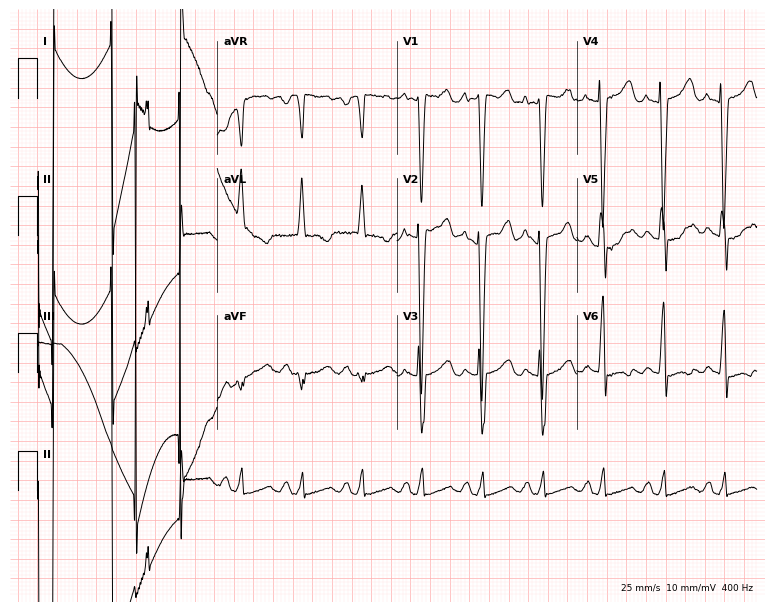
12-lead ECG from a 47-year-old female. No first-degree AV block, right bundle branch block, left bundle branch block, sinus bradycardia, atrial fibrillation or sinus tachycardia recorded for this tracing. Findings outside these six are not listed.